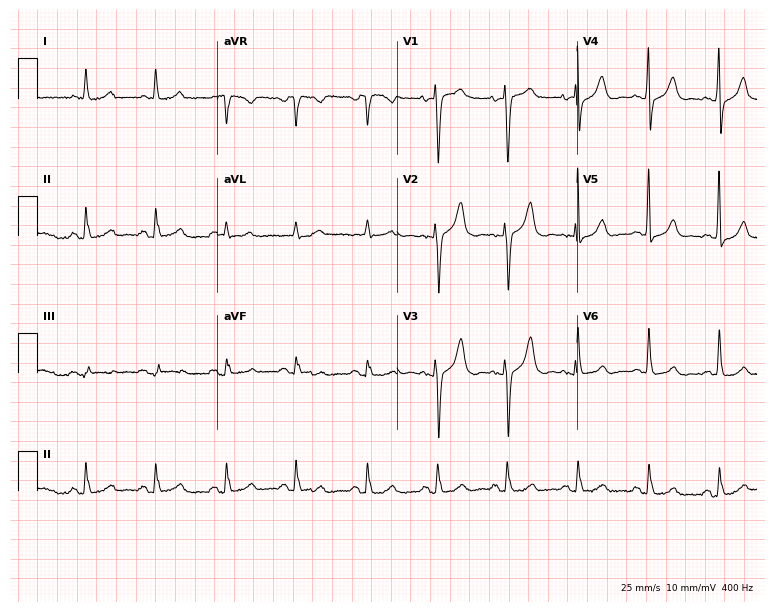
12-lead ECG (7.3-second recording at 400 Hz) from a 77-year-old woman. Labelled as a normal ECG.